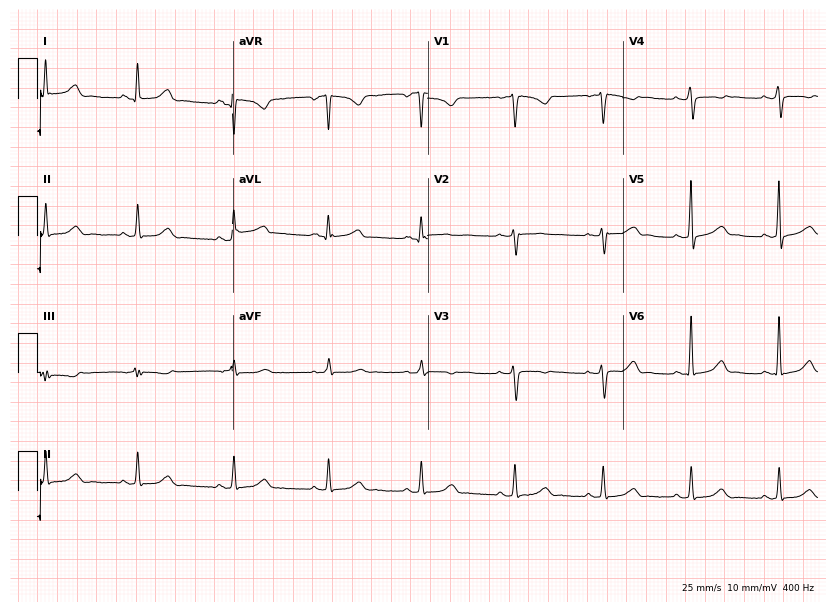
Standard 12-lead ECG recorded from a female patient, 17 years old (8-second recording at 400 Hz). Read as a normal ECG.